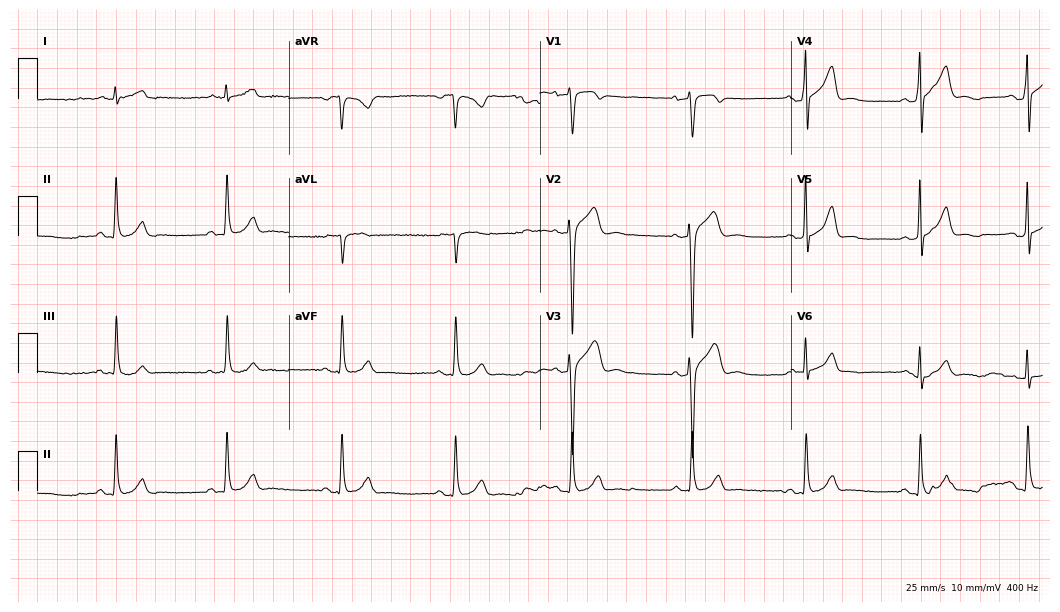
Resting 12-lead electrocardiogram (10.2-second recording at 400 Hz). Patient: a 42-year-old man. None of these six findings is recorded: first-degree AV block, right bundle branch block, left bundle branch block, sinus bradycardia, atrial fibrillation, sinus tachycardia.